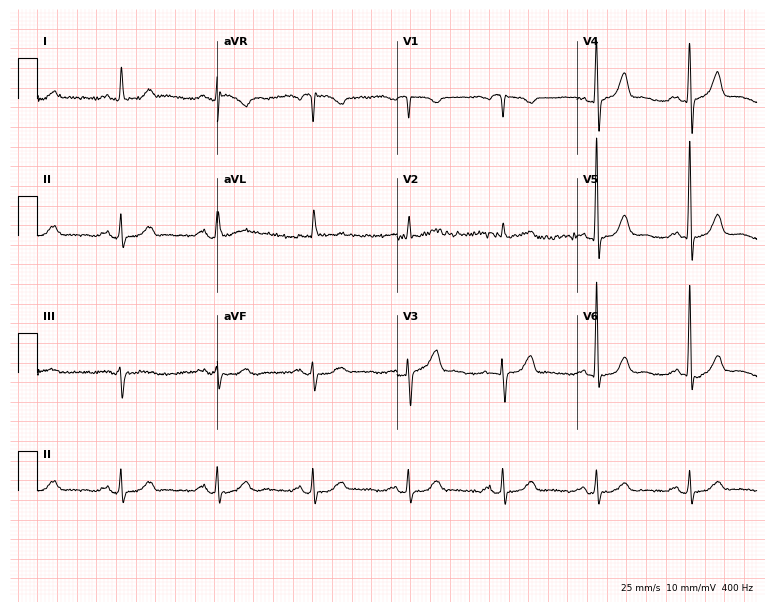
12-lead ECG from a man, 78 years old. Recorded interpretation: within normal limits.